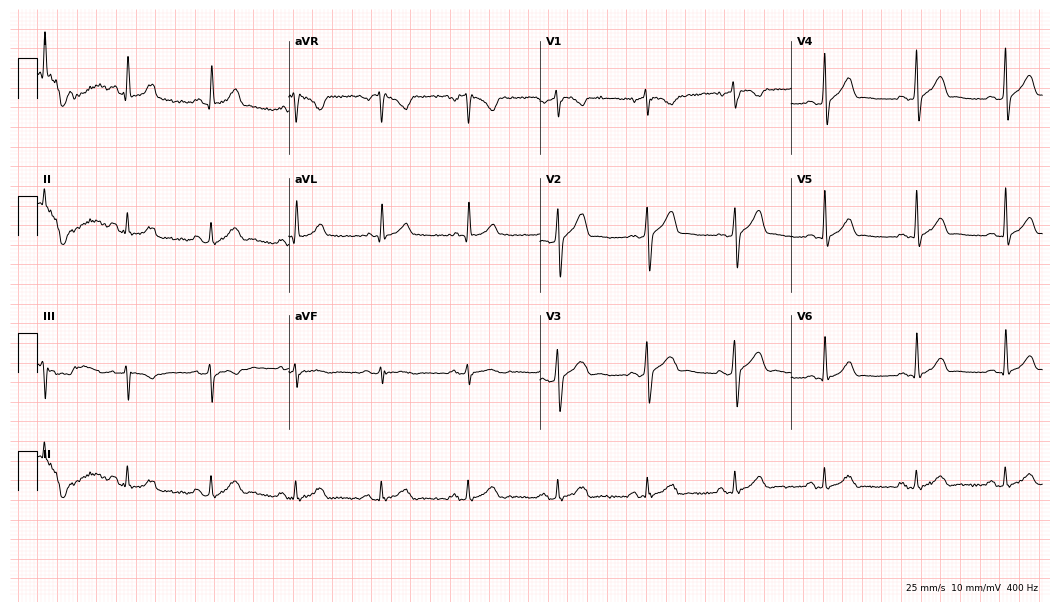
Electrocardiogram (10.2-second recording at 400 Hz), a male patient, 35 years old. Overall reading on record: normal ECG.